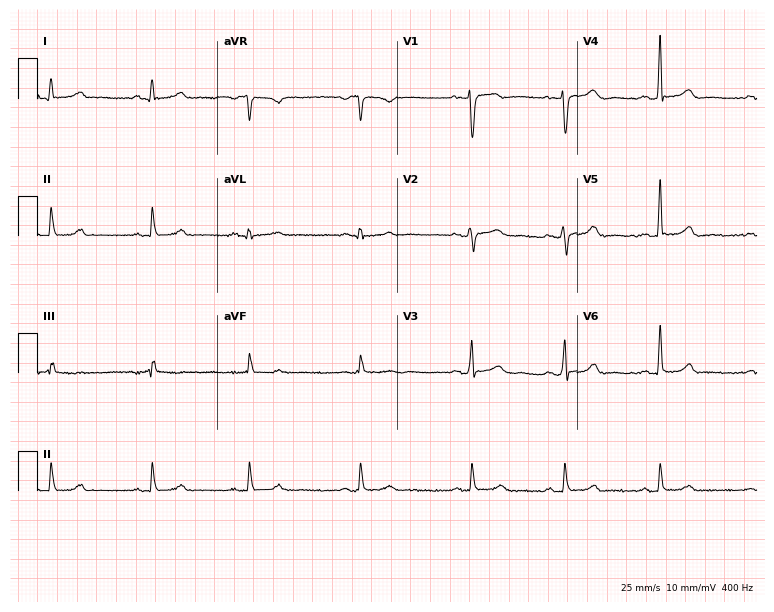
ECG (7.3-second recording at 400 Hz) — a female, 28 years old. Labelled as a normal ECG.